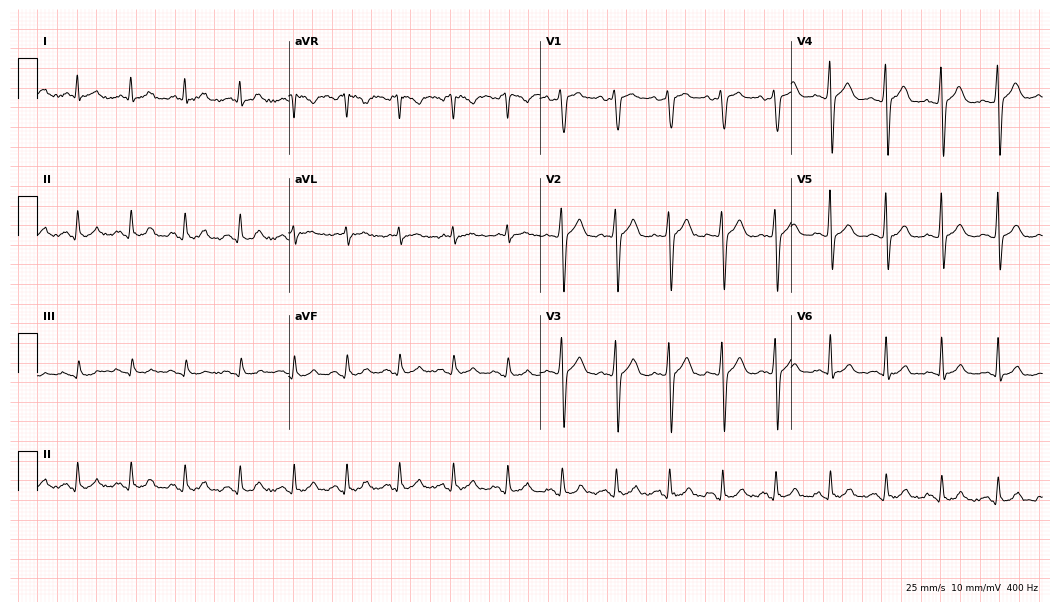
Resting 12-lead electrocardiogram (10.2-second recording at 400 Hz). Patient: a male, 32 years old. The tracing shows sinus tachycardia (a sinus rate of 100 beats per minute or more).